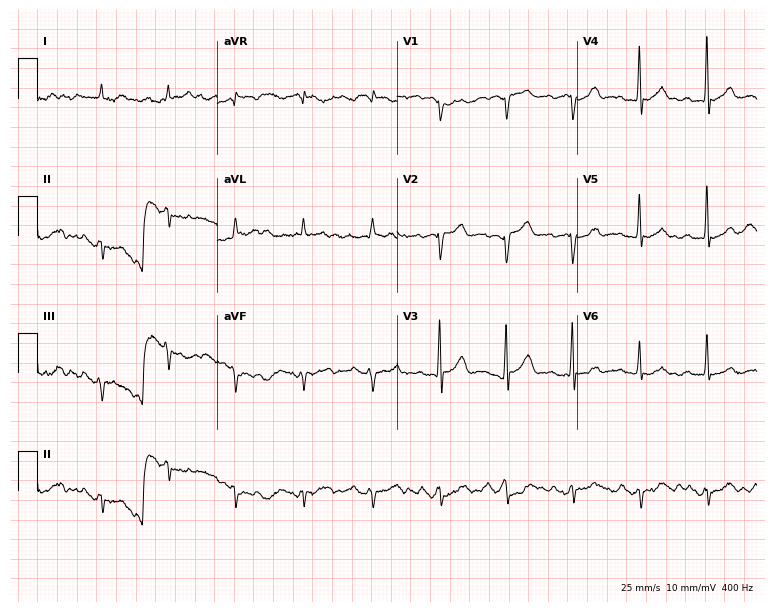
Electrocardiogram, a 75-year-old male. Of the six screened findings (first-degree AV block, right bundle branch block, left bundle branch block, sinus bradycardia, atrial fibrillation, sinus tachycardia), none is recorded. Findings outside these six are not listed.